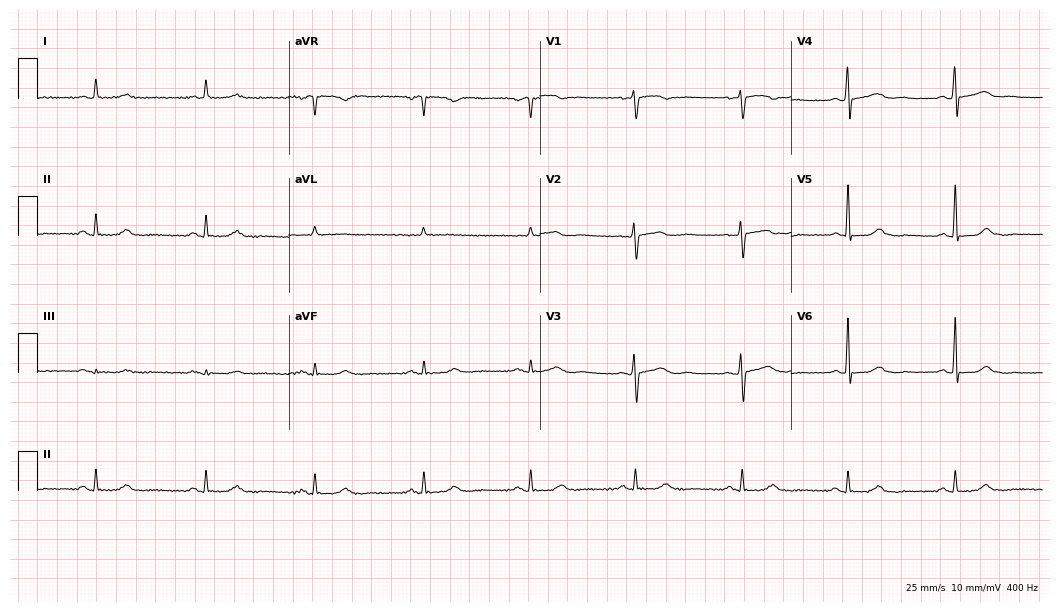
12-lead ECG from a 56-year-old female. Recorded interpretation: within normal limits.